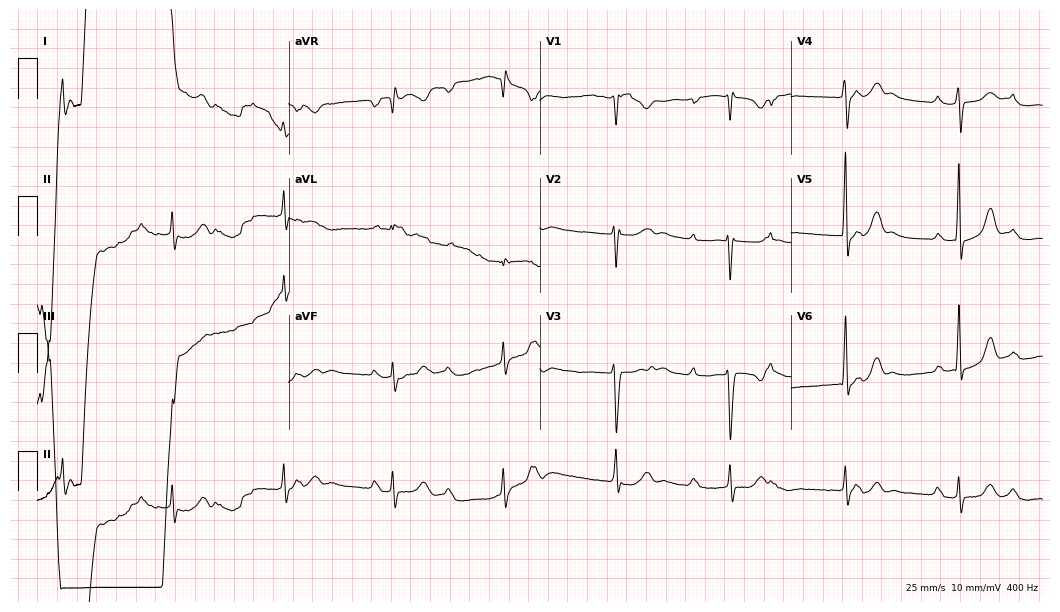
12-lead ECG from a 21-year-old woman. Screened for six findings — first-degree AV block, right bundle branch block, left bundle branch block, sinus bradycardia, atrial fibrillation, sinus tachycardia — none is recorded.